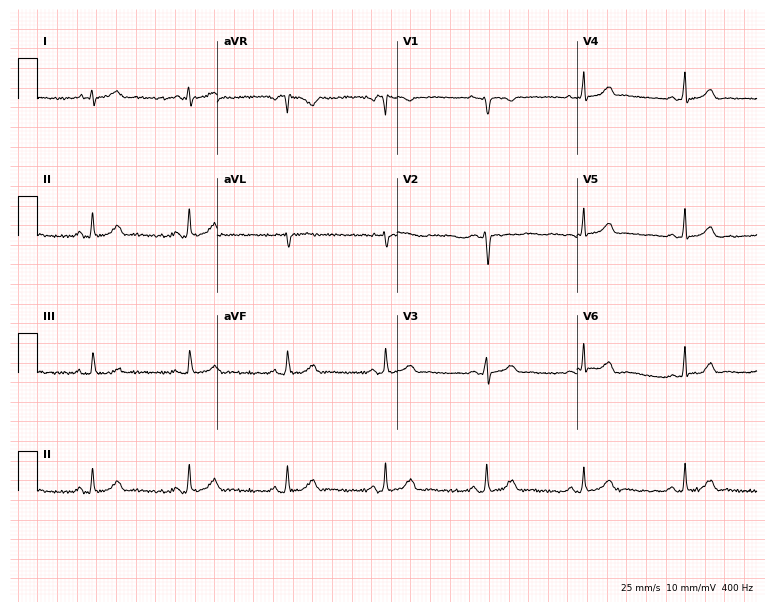
12-lead ECG (7.3-second recording at 400 Hz) from a 25-year-old woman. Labelled as a normal ECG.